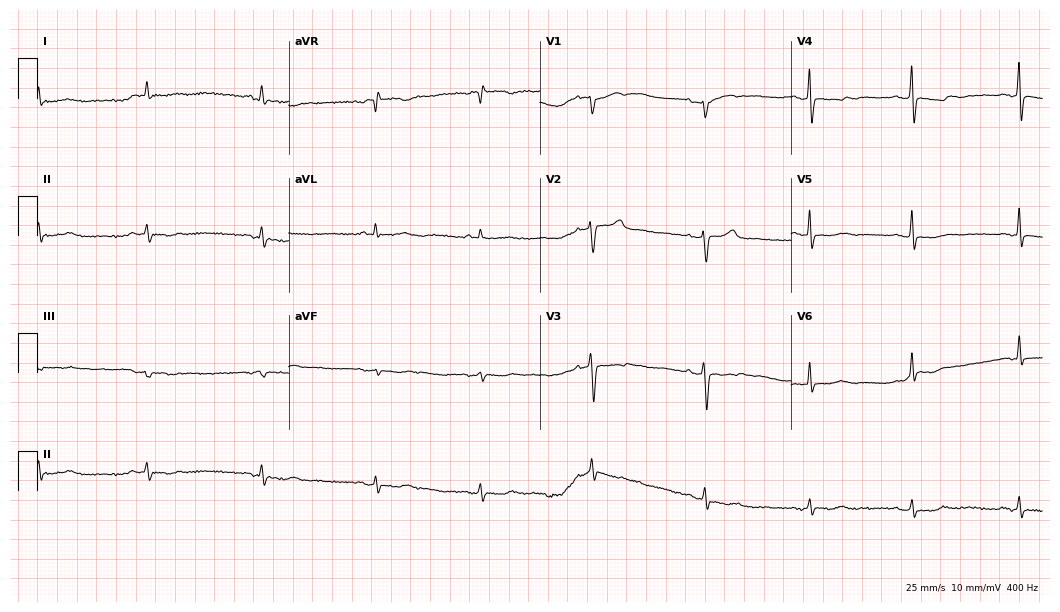
Resting 12-lead electrocardiogram. Patient: a 65-year-old female. None of these six findings is recorded: first-degree AV block, right bundle branch block, left bundle branch block, sinus bradycardia, atrial fibrillation, sinus tachycardia. Only these six findings were labelled.